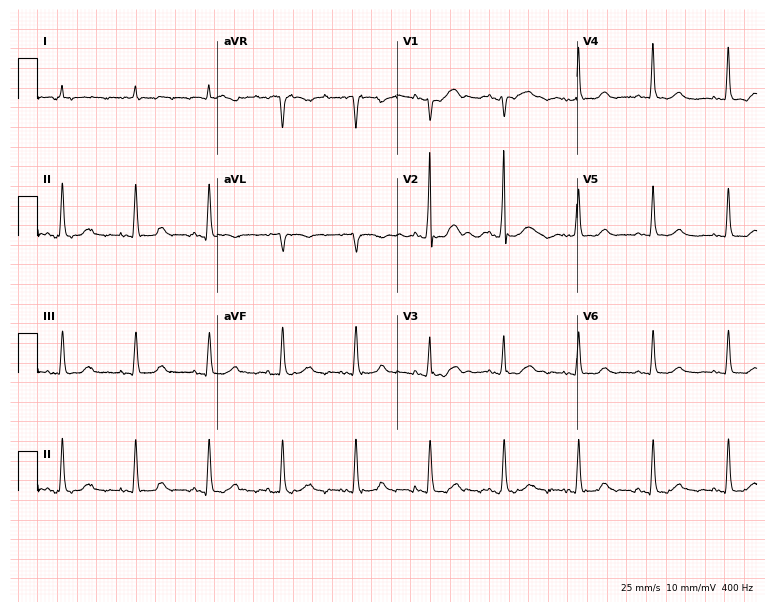
Standard 12-lead ECG recorded from a 77-year-old female. Read as a normal ECG.